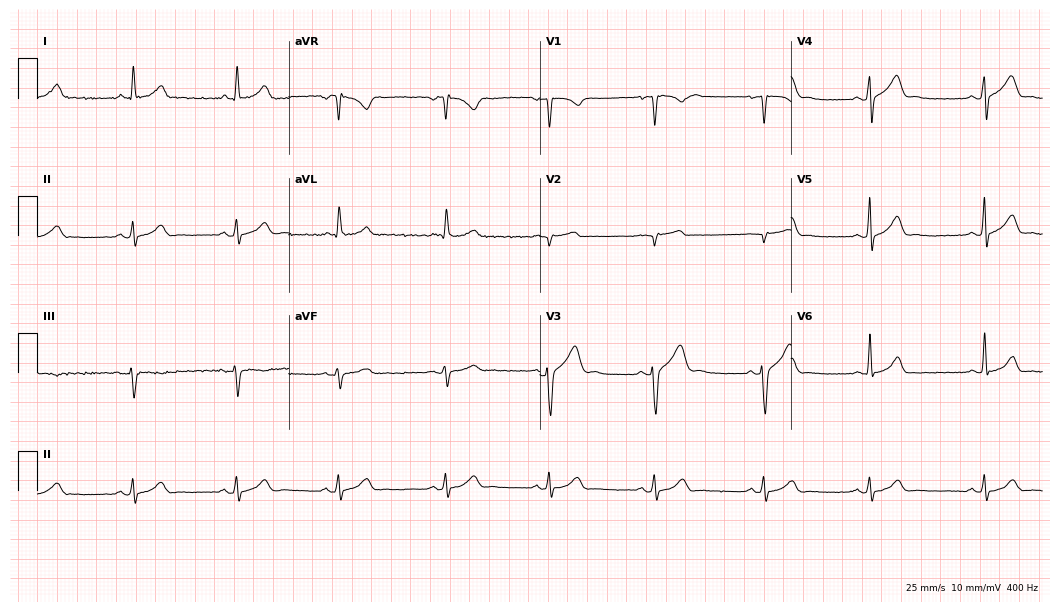
Standard 12-lead ECG recorded from a 42-year-old male patient. Read as a normal ECG.